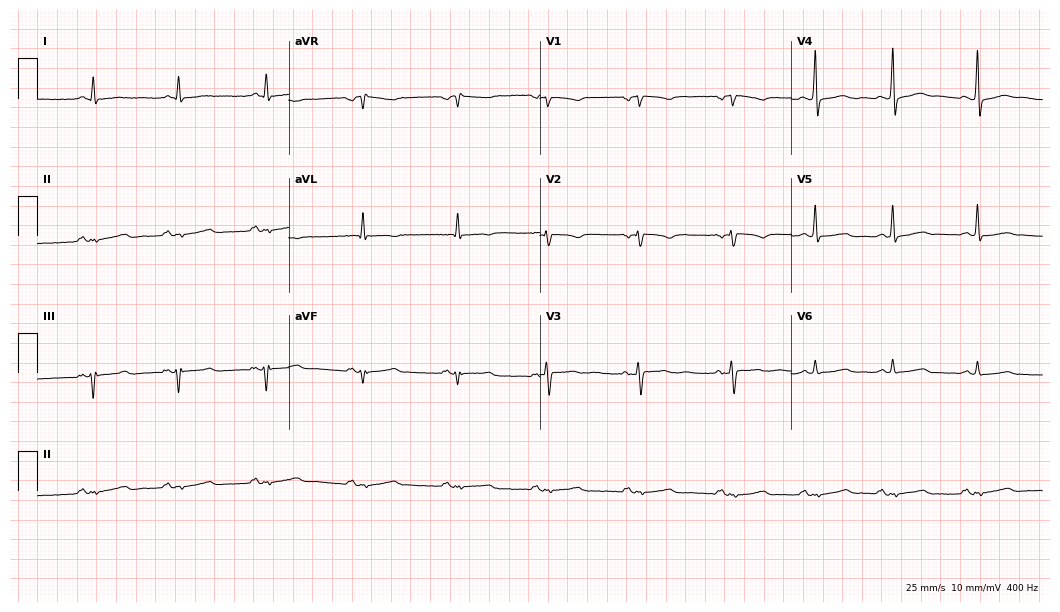
ECG — a 43-year-old woman. Screened for six findings — first-degree AV block, right bundle branch block, left bundle branch block, sinus bradycardia, atrial fibrillation, sinus tachycardia — none is recorded.